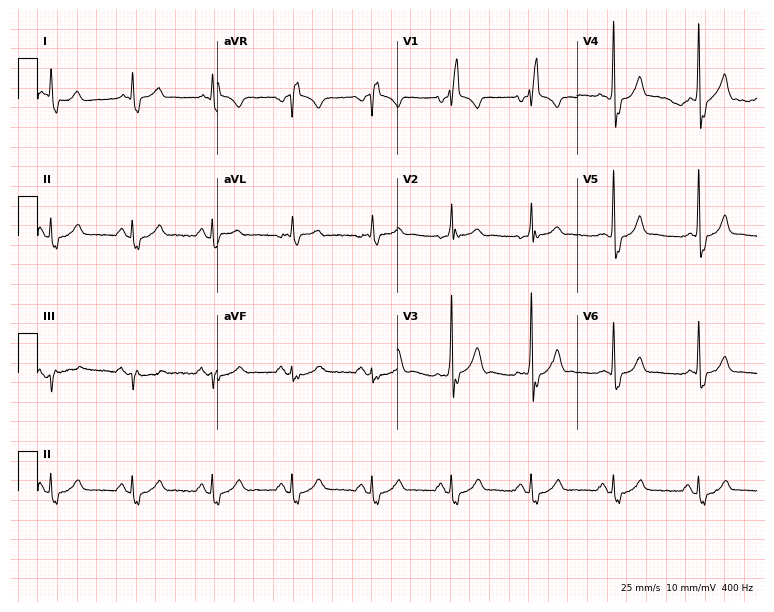
ECG (7.3-second recording at 400 Hz) — a 60-year-old male. Findings include right bundle branch block.